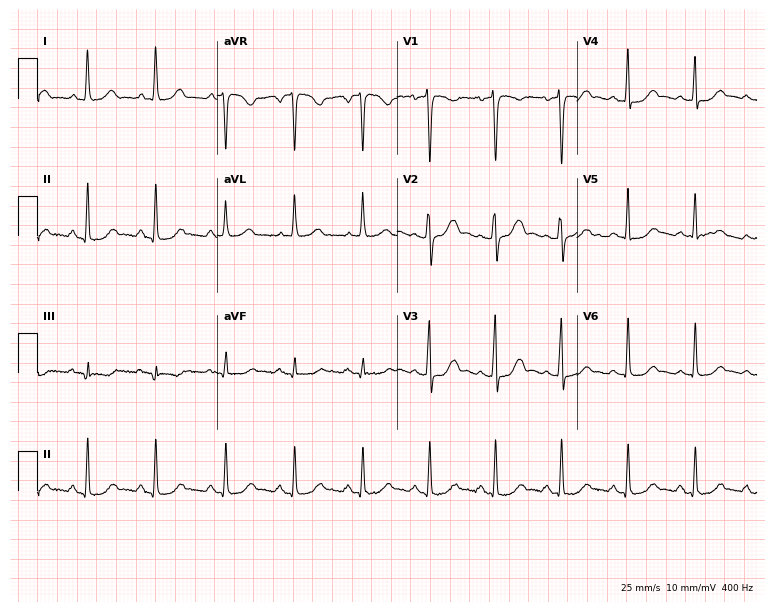
12-lead ECG (7.3-second recording at 400 Hz) from a 38-year-old woman. Labelled as a normal ECG.